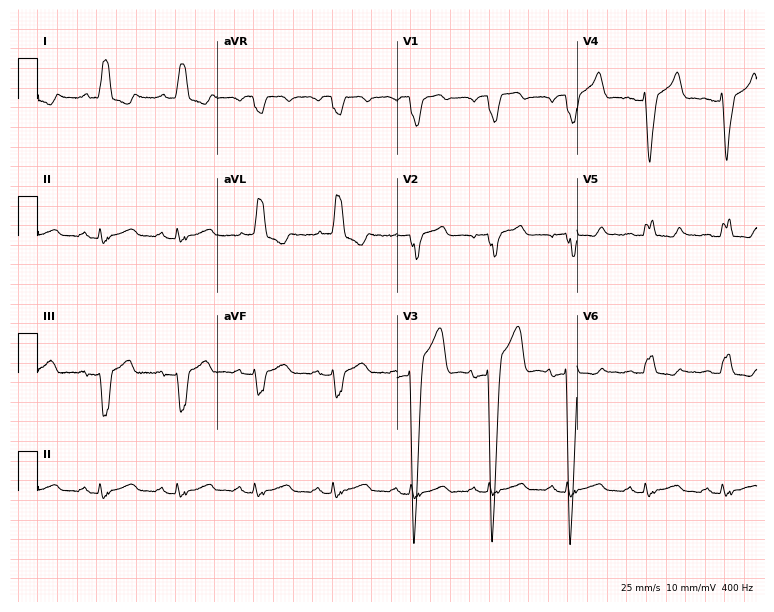
Electrocardiogram, a male patient, 68 years old. Interpretation includes left bundle branch block (LBBB), sinus tachycardia (a sinus rate of 100 beats per minute or more).